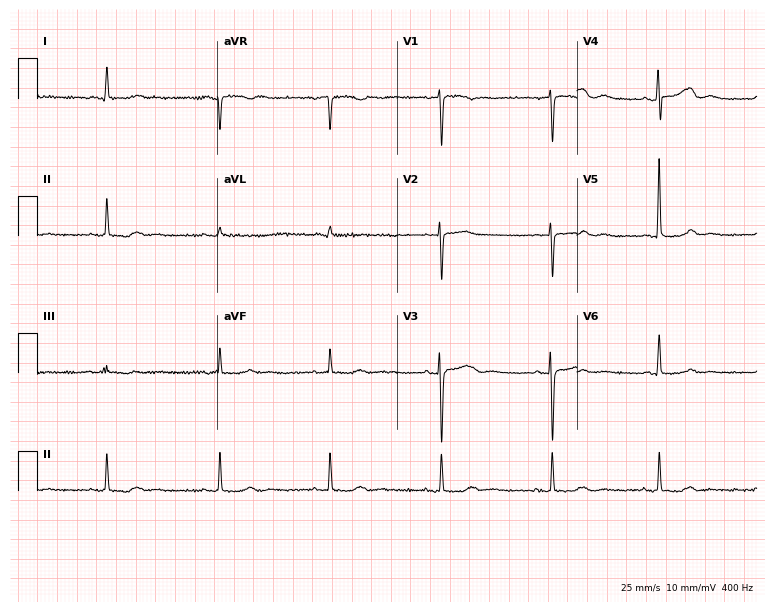
Resting 12-lead electrocardiogram. Patient: a female, 72 years old. None of these six findings is recorded: first-degree AV block, right bundle branch block, left bundle branch block, sinus bradycardia, atrial fibrillation, sinus tachycardia. Only these six findings were labelled.